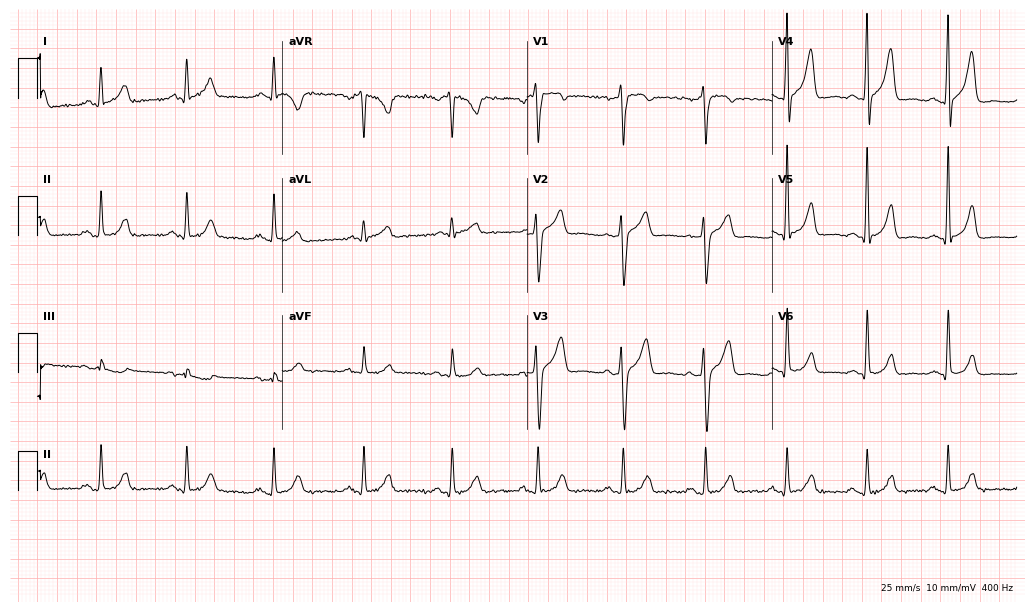
12-lead ECG (10-second recording at 400 Hz) from a 48-year-old male patient. Labelled as a normal ECG.